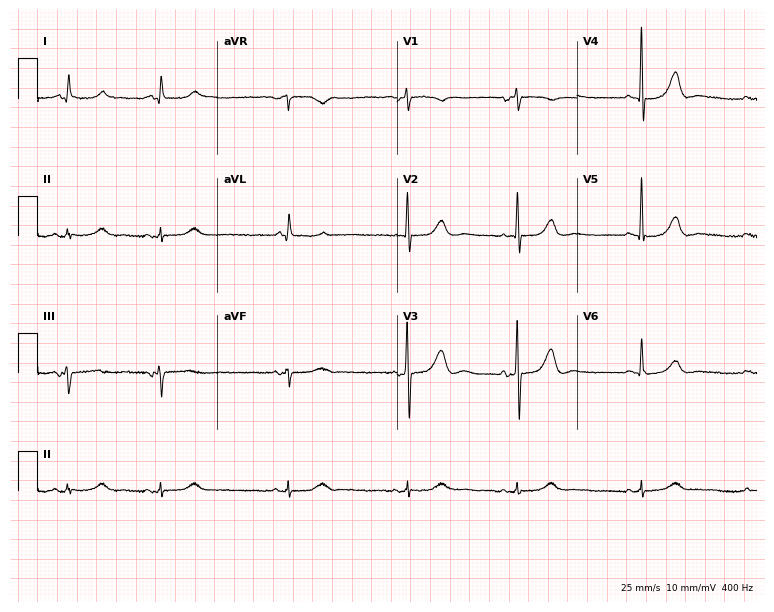
12-lead ECG from a female patient, 80 years old. Screened for six findings — first-degree AV block, right bundle branch block (RBBB), left bundle branch block (LBBB), sinus bradycardia, atrial fibrillation (AF), sinus tachycardia — none is recorded.